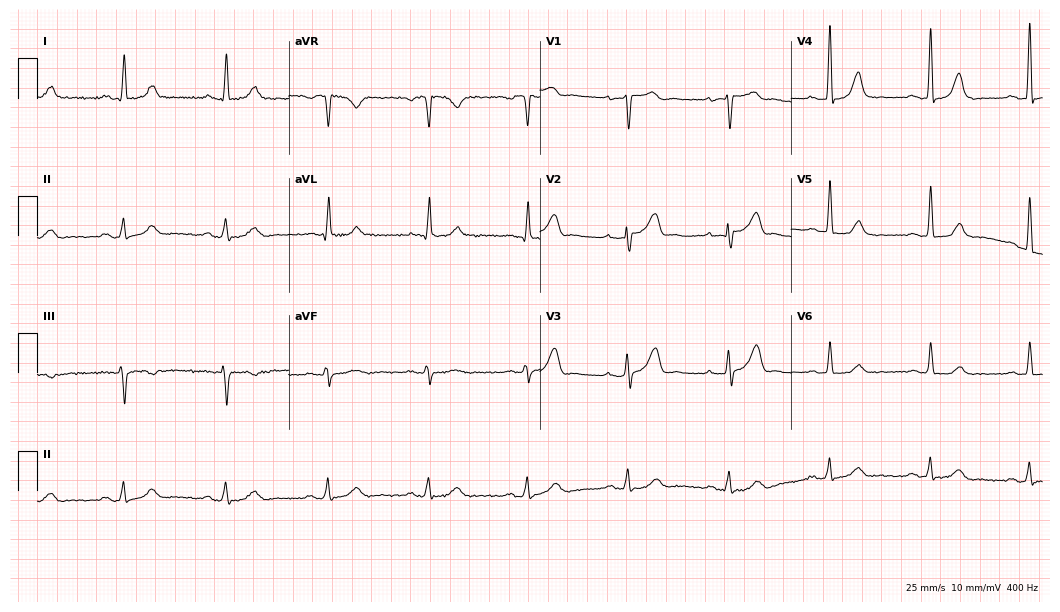
Electrocardiogram (10.2-second recording at 400 Hz), a woman, 62 years old. Overall reading on record: normal ECG.